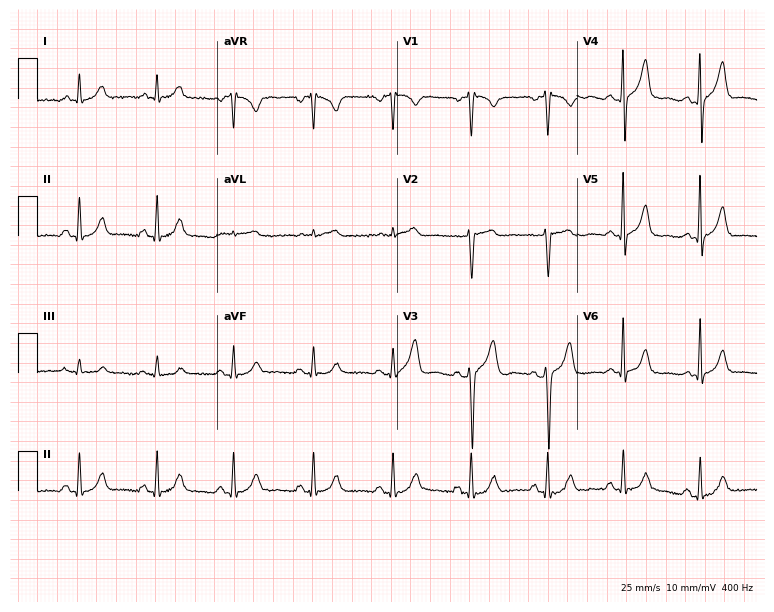
ECG — a male, 59 years old. Labelled as a normal ECG.